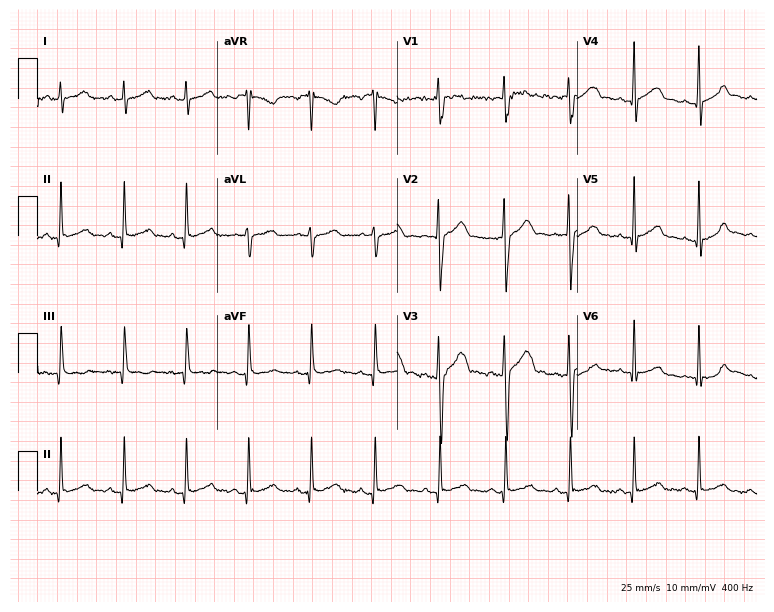
12-lead ECG from a 23-year-old male. Recorded interpretation: within normal limits.